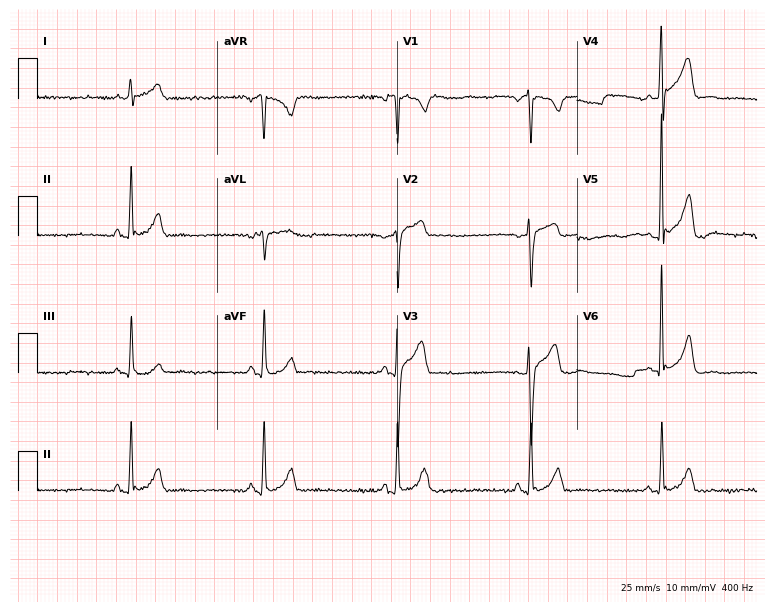
Electrocardiogram (7.3-second recording at 400 Hz), a male patient, 19 years old. Of the six screened findings (first-degree AV block, right bundle branch block, left bundle branch block, sinus bradycardia, atrial fibrillation, sinus tachycardia), none is recorded.